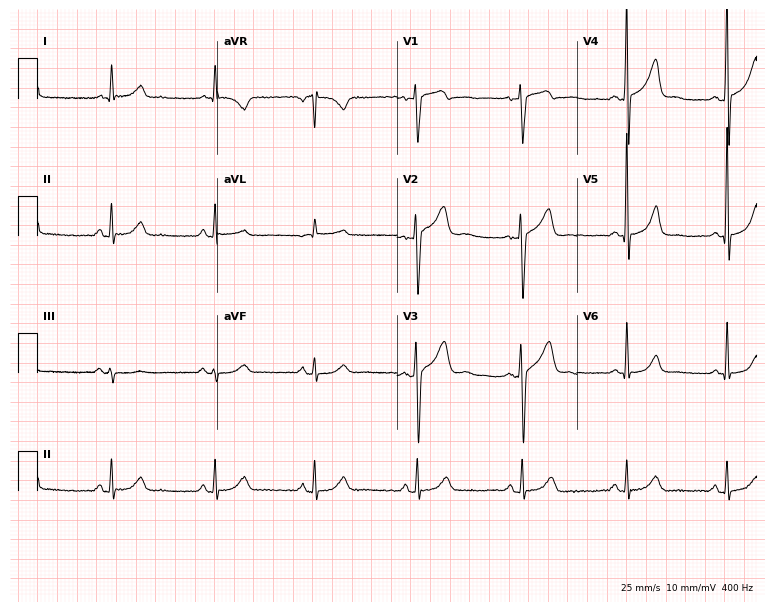
Resting 12-lead electrocardiogram (7.3-second recording at 400 Hz). Patient: a male, 53 years old. Read as a normal ECG.